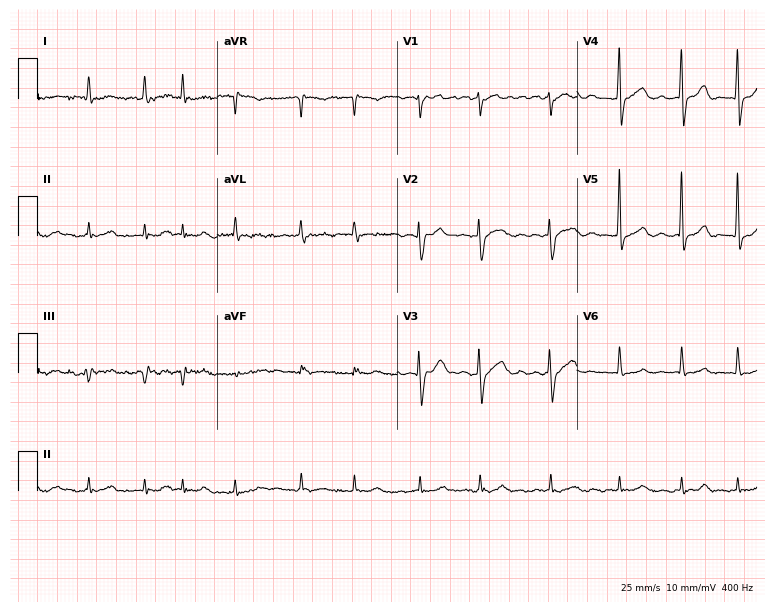
Standard 12-lead ECG recorded from a man, 74 years old. The tracing shows atrial fibrillation (AF).